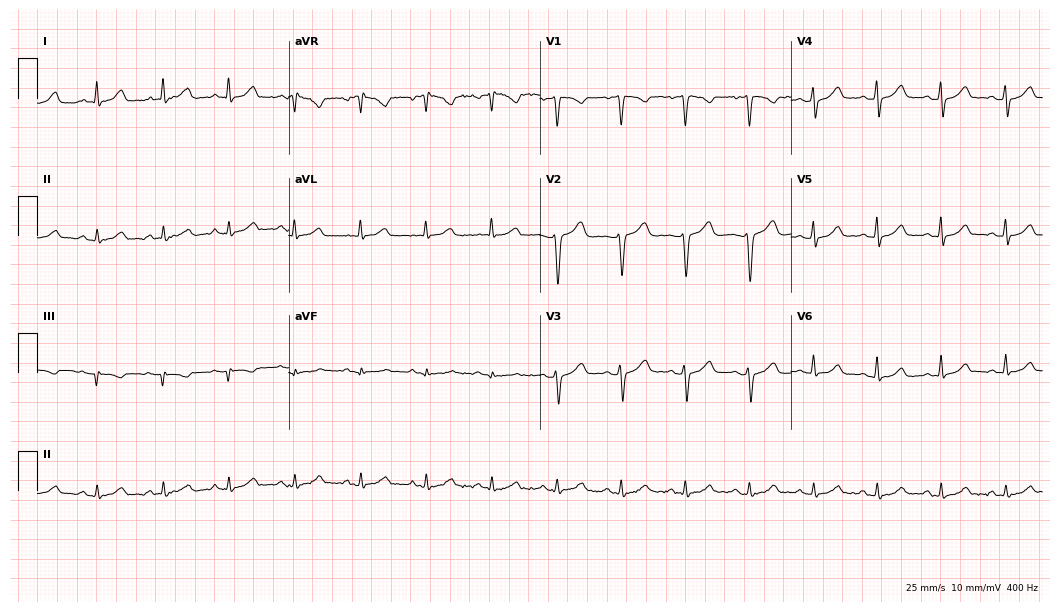
12-lead ECG from a female patient, 44 years old. Screened for six findings — first-degree AV block, right bundle branch block, left bundle branch block, sinus bradycardia, atrial fibrillation, sinus tachycardia — none is recorded.